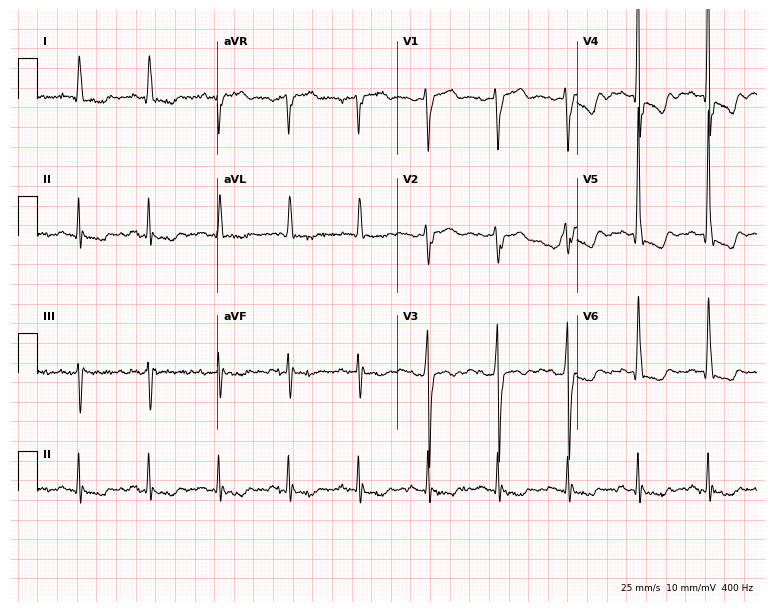
12-lead ECG (7.3-second recording at 400 Hz) from a male, 67 years old. Screened for six findings — first-degree AV block, right bundle branch block, left bundle branch block, sinus bradycardia, atrial fibrillation, sinus tachycardia — none is recorded. Findings outside these six are not listed.